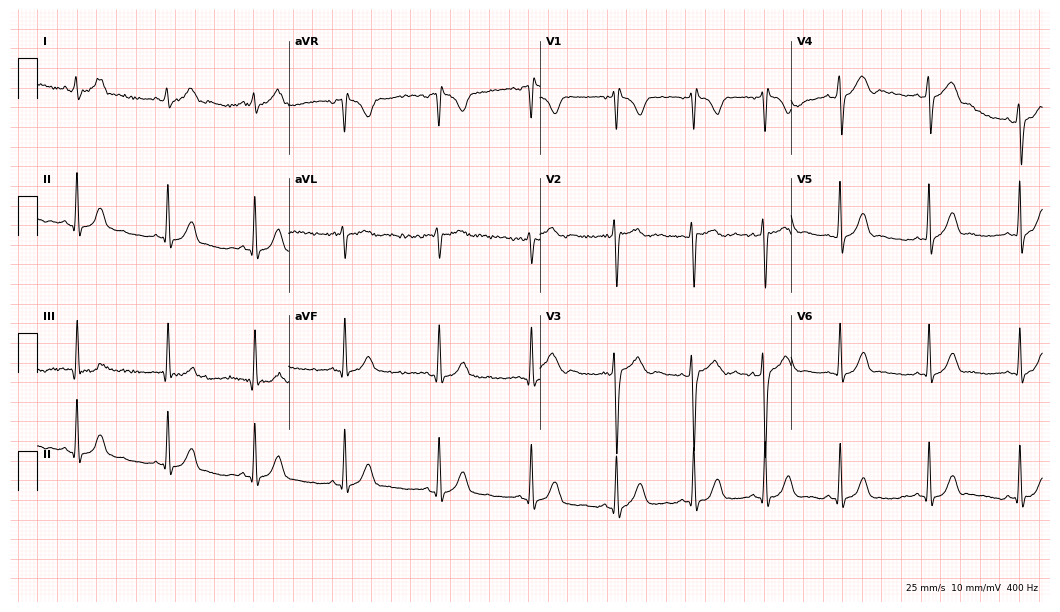
Resting 12-lead electrocardiogram (10.2-second recording at 400 Hz). Patient: an 18-year-old male. None of these six findings is recorded: first-degree AV block, right bundle branch block, left bundle branch block, sinus bradycardia, atrial fibrillation, sinus tachycardia. Findings outside these six are not listed.